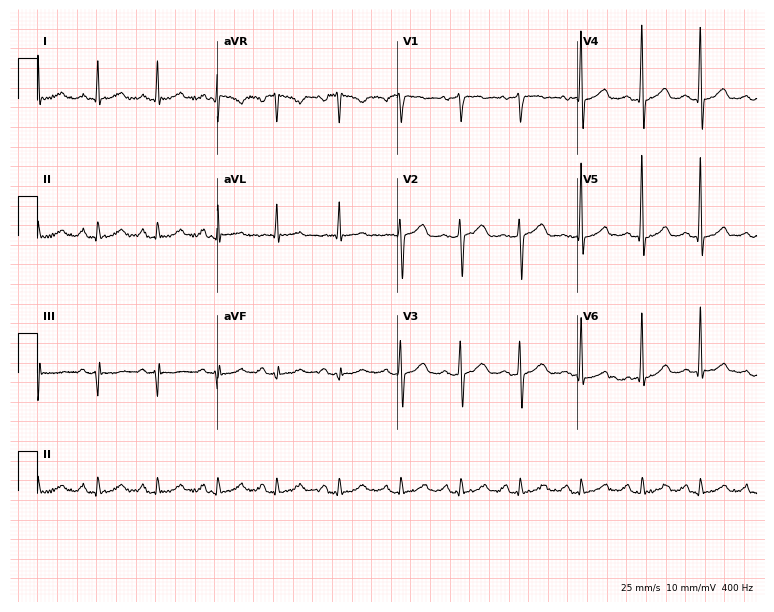
ECG — a 54-year-old female. Labelled as a normal ECG.